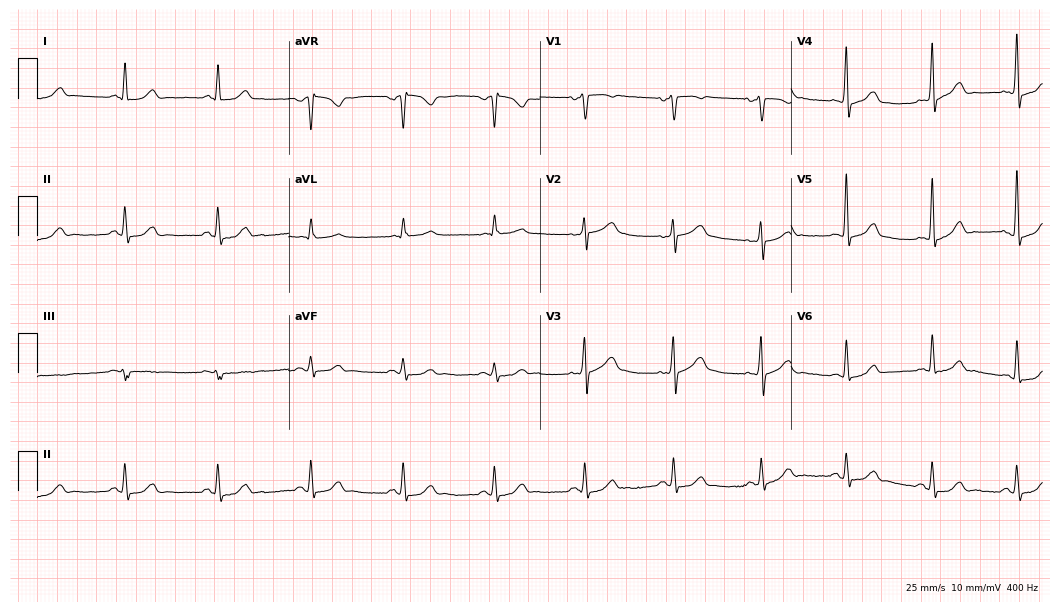
Electrocardiogram, a 56-year-old man. Of the six screened findings (first-degree AV block, right bundle branch block, left bundle branch block, sinus bradycardia, atrial fibrillation, sinus tachycardia), none is recorded.